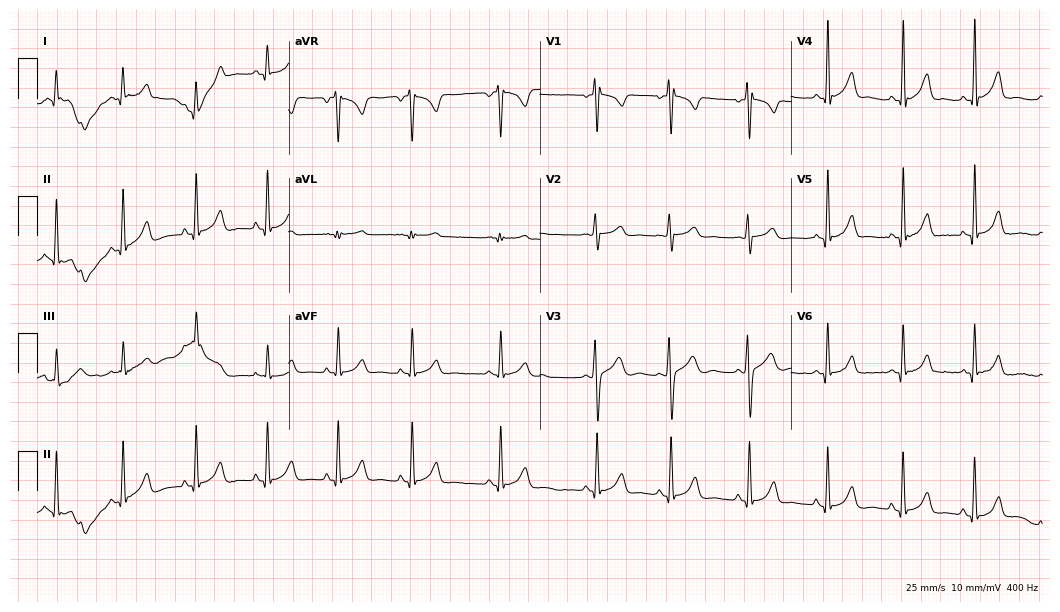
12-lead ECG from a female patient, 18 years old. Labelled as a normal ECG.